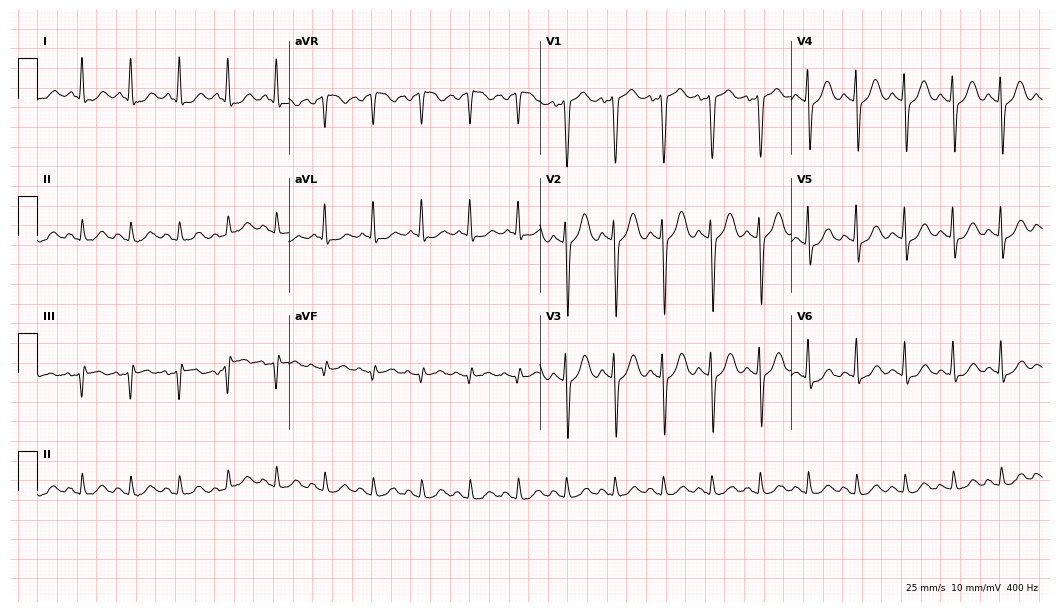
Standard 12-lead ECG recorded from a male patient, 61 years old (10.2-second recording at 400 Hz). The tracing shows sinus tachycardia (a sinus rate of 100 beats per minute or more).